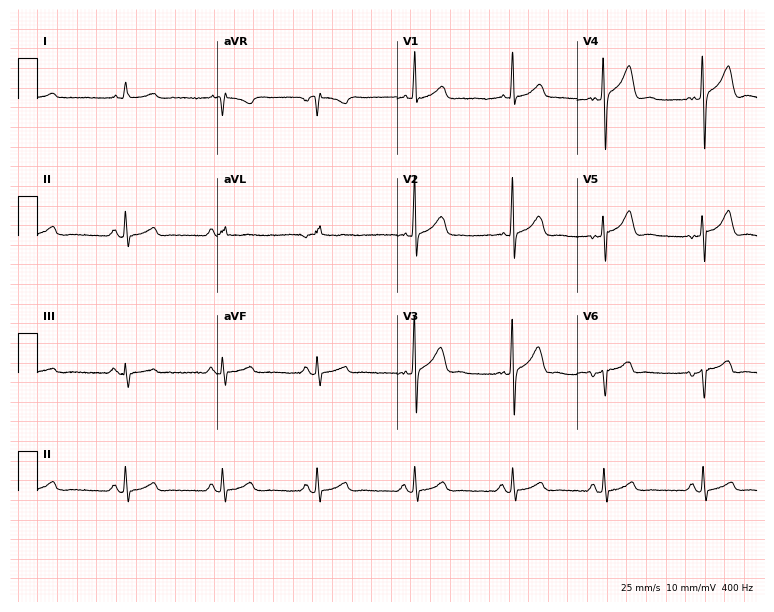
Standard 12-lead ECG recorded from a male patient, 34 years old (7.3-second recording at 400 Hz). Read as a normal ECG.